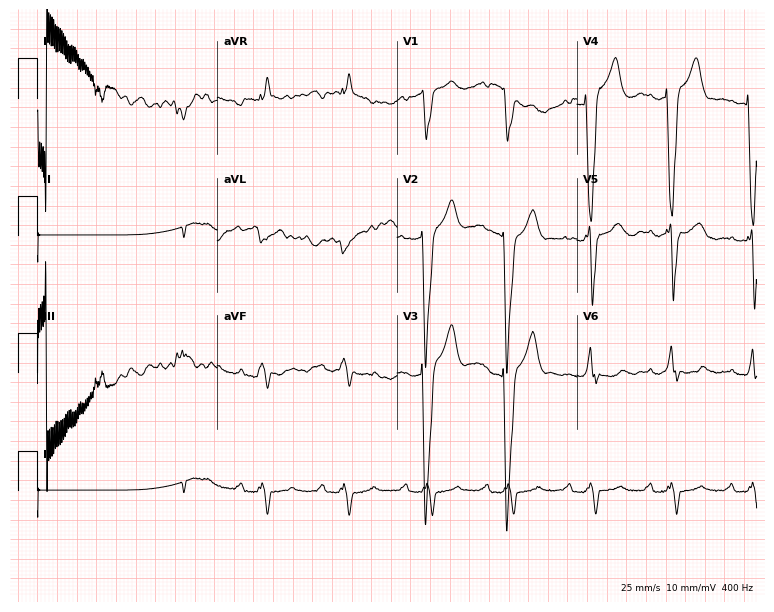
Resting 12-lead electrocardiogram. Patient: a 74-year-old male. None of these six findings is recorded: first-degree AV block, right bundle branch block, left bundle branch block, sinus bradycardia, atrial fibrillation, sinus tachycardia. Findings outside these six are not listed.